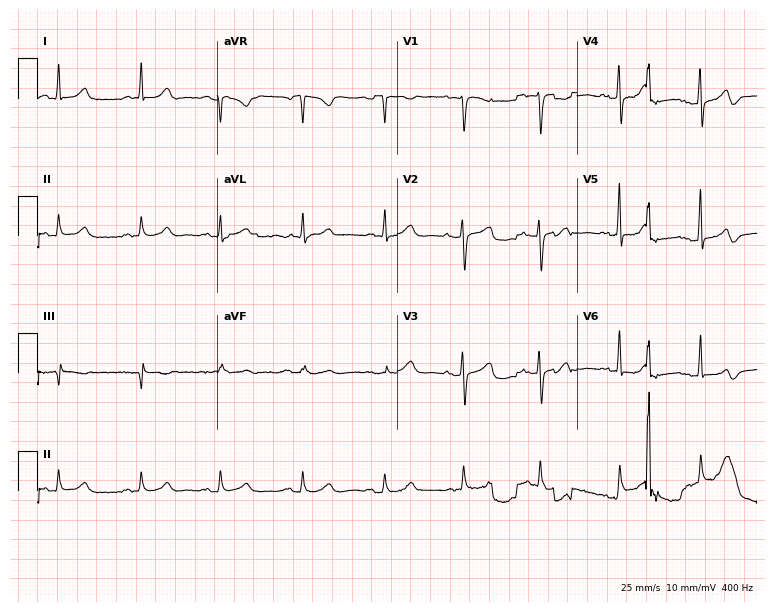
ECG (7.3-second recording at 400 Hz) — a female patient, 53 years old. Screened for six findings — first-degree AV block, right bundle branch block (RBBB), left bundle branch block (LBBB), sinus bradycardia, atrial fibrillation (AF), sinus tachycardia — none is recorded.